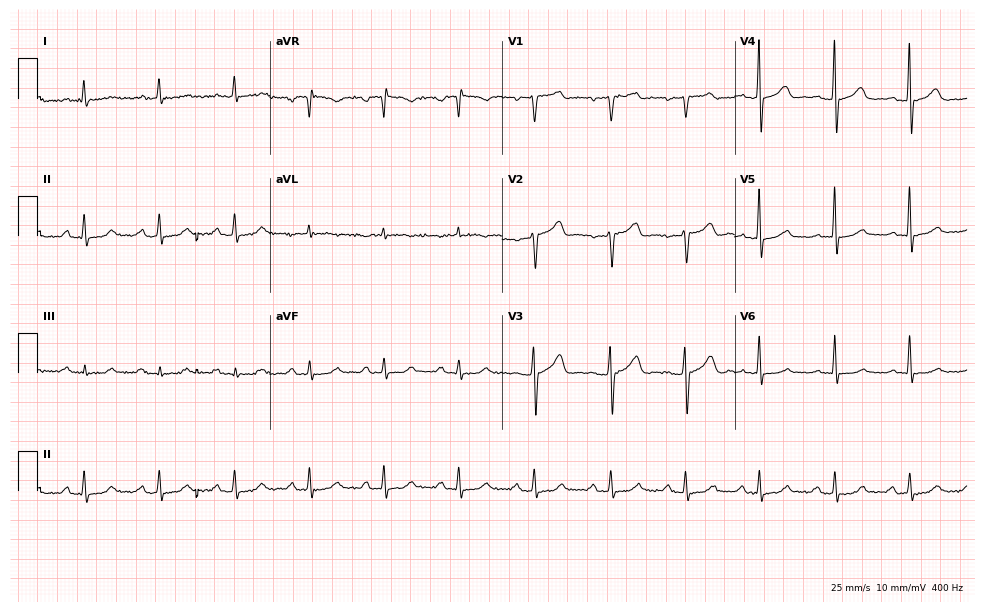
Resting 12-lead electrocardiogram (9.5-second recording at 400 Hz). Patient: a 73-year-old female. None of these six findings is recorded: first-degree AV block, right bundle branch block (RBBB), left bundle branch block (LBBB), sinus bradycardia, atrial fibrillation (AF), sinus tachycardia.